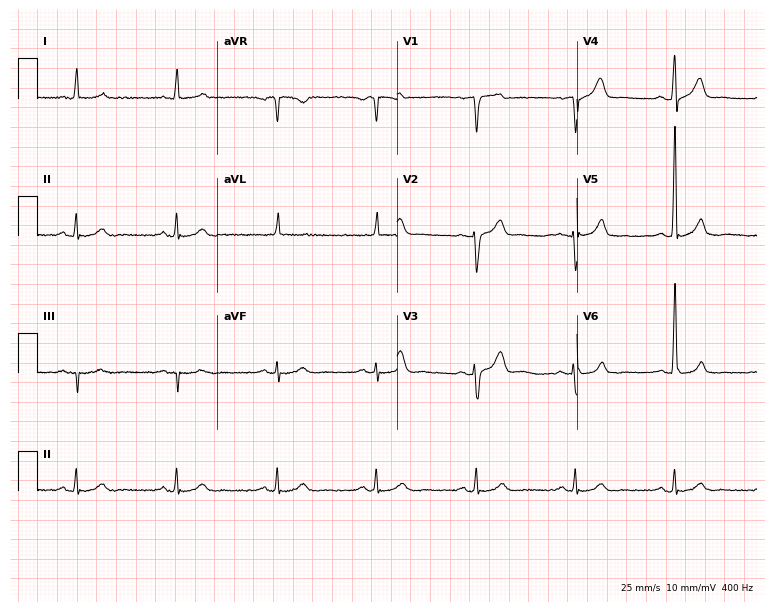
12-lead ECG from a male patient, 77 years old (7.3-second recording at 400 Hz). Recorded interpretation: within normal limits.